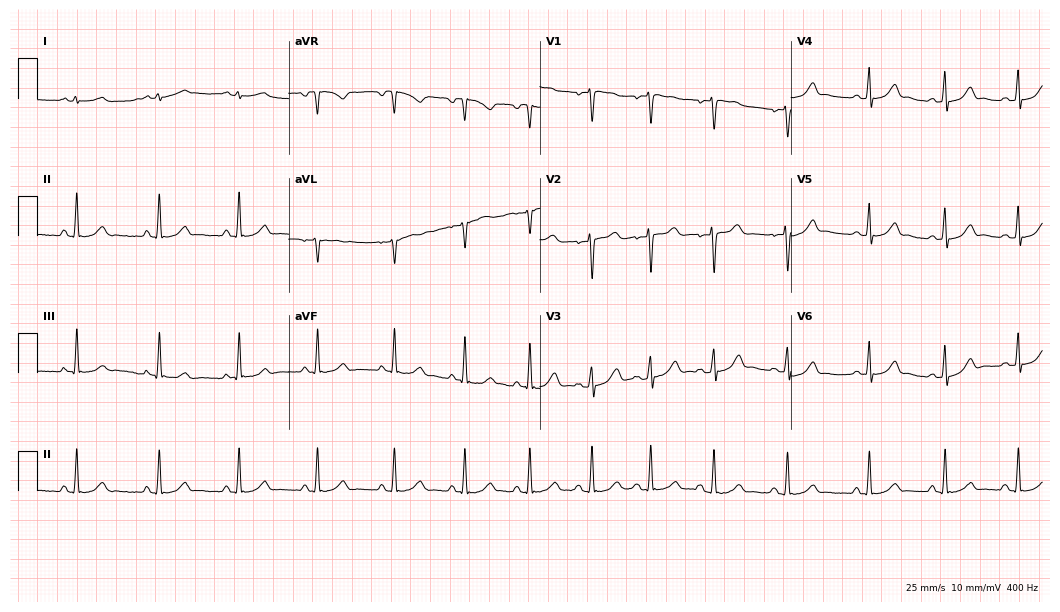
12-lead ECG (10.2-second recording at 400 Hz) from a female, 19 years old. Labelled as a normal ECG.